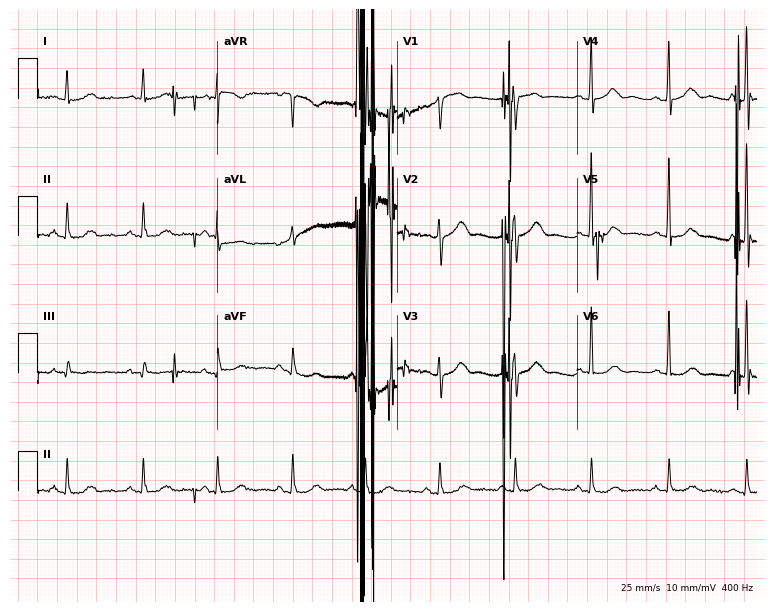
12-lead ECG from a 79-year-old woman. Screened for six findings — first-degree AV block, right bundle branch block (RBBB), left bundle branch block (LBBB), sinus bradycardia, atrial fibrillation (AF), sinus tachycardia — none is recorded. Other findings, if any, are not listed.